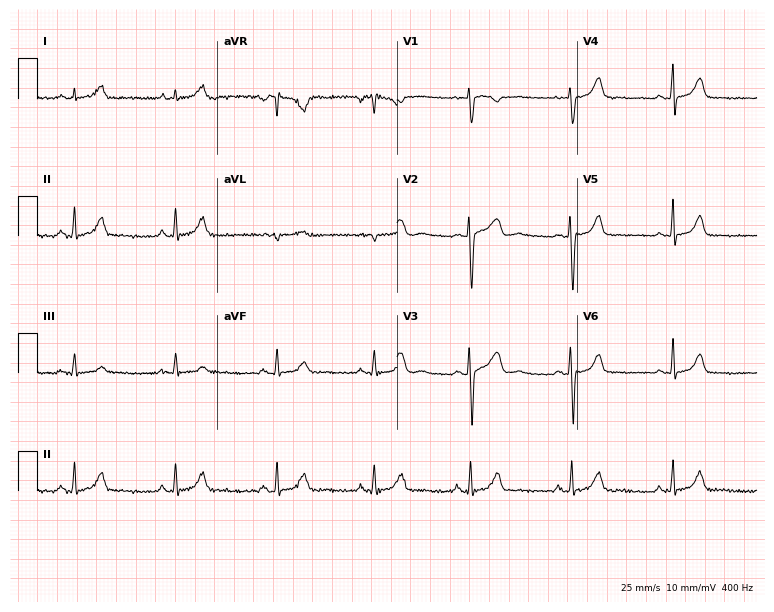
Standard 12-lead ECG recorded from a woman, 30 years old (7.3-second recording at 400 Hz). Read as a normal ECG.